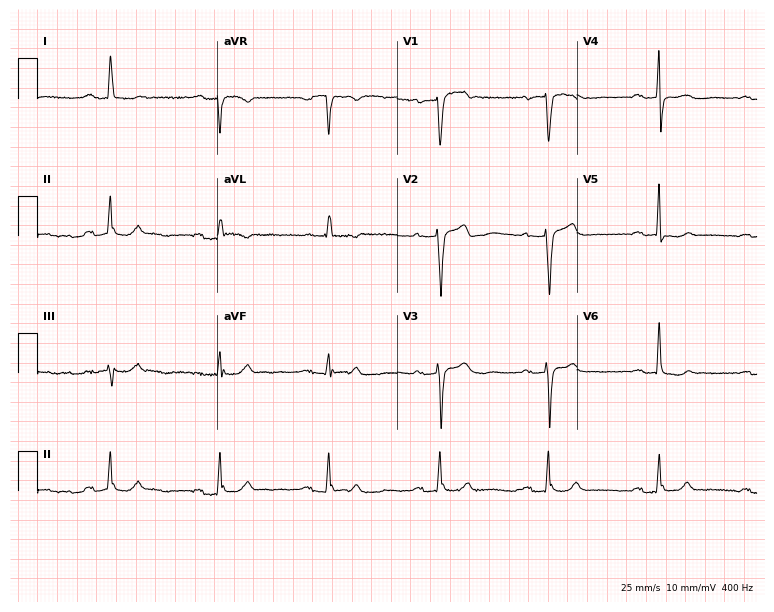
Resting 12-lead electrocardiogram (7.3-second recording at 400 Hz). Patient: a woman, 61 years old. The tracing shows first-degree AV block.